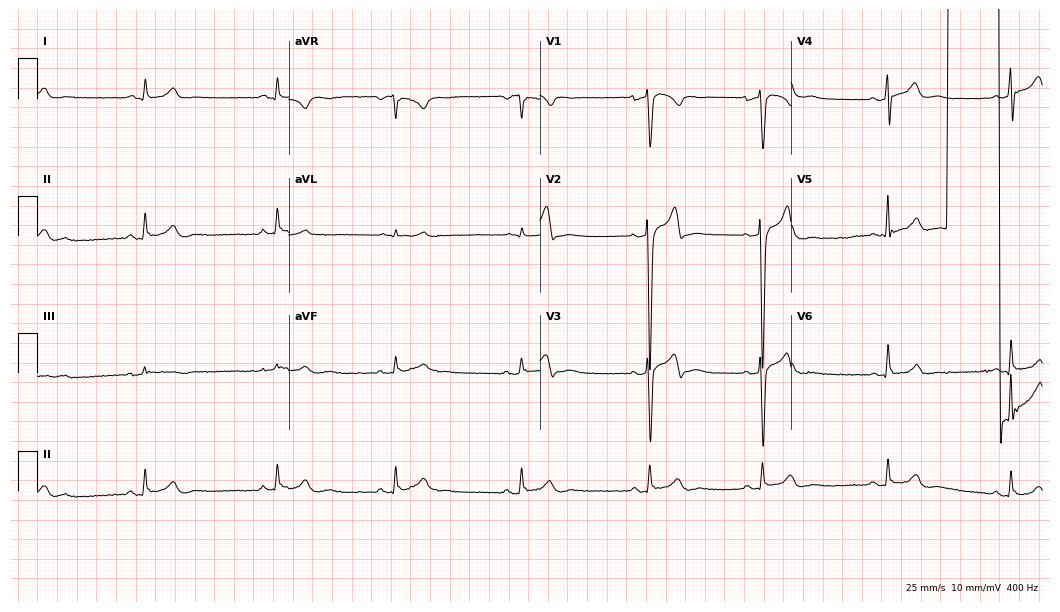
Electrocardiogram, a 26-year-old man. Of the six screened findings (first-degree AV block, right bundle branch block (RBBB), left bundle branch block (LBBB), sinus bradycardia, atrial fibrillation (AF), sinus tachycardia), none is recorded. Only these six findings were labelled.